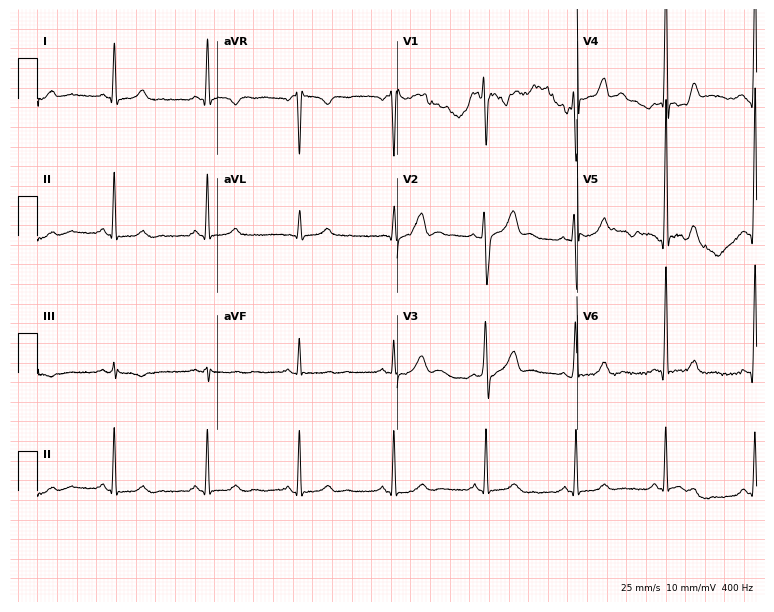
Electrocardiogram, a male, 49 years old. Of the six screened findings (first-degree AV block, right bundle branch block (RBBB), left bundle branch block (LBBB), sinus bradycardia, atrial fibrillation (AF), sinus tachycardia), none is recorded.